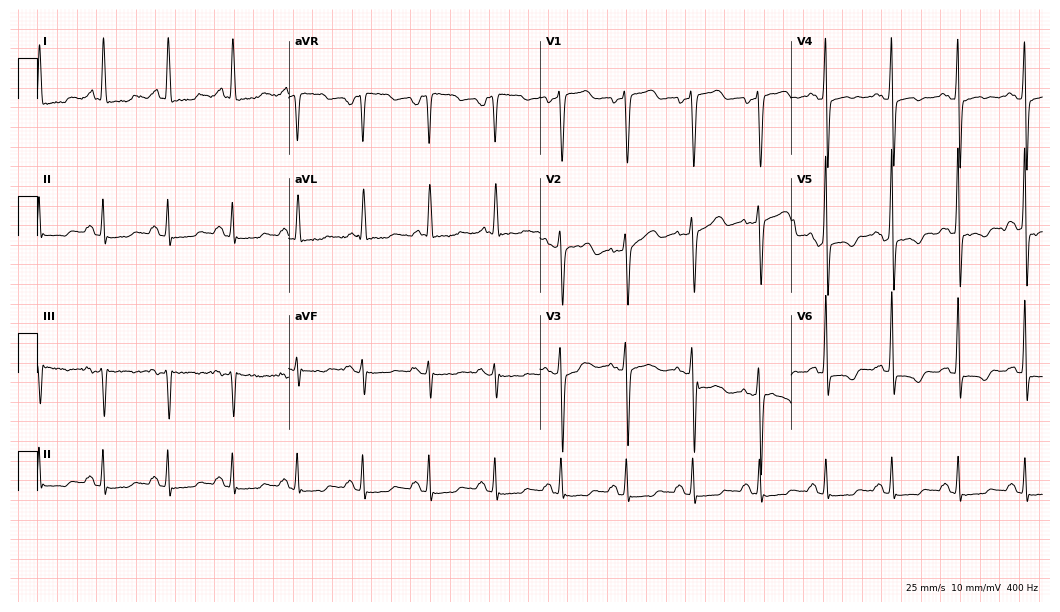
Standard 12-lead ECG recorded from a 56-year-old female. None of these six findings is recorded: first-degree AV block, right bundle branch block (RBBB), left bundle branch block (LBBB), sinus bradycardia, atrial fibrillation (AF), sinus tachycardia. Only these six findings were labelled.